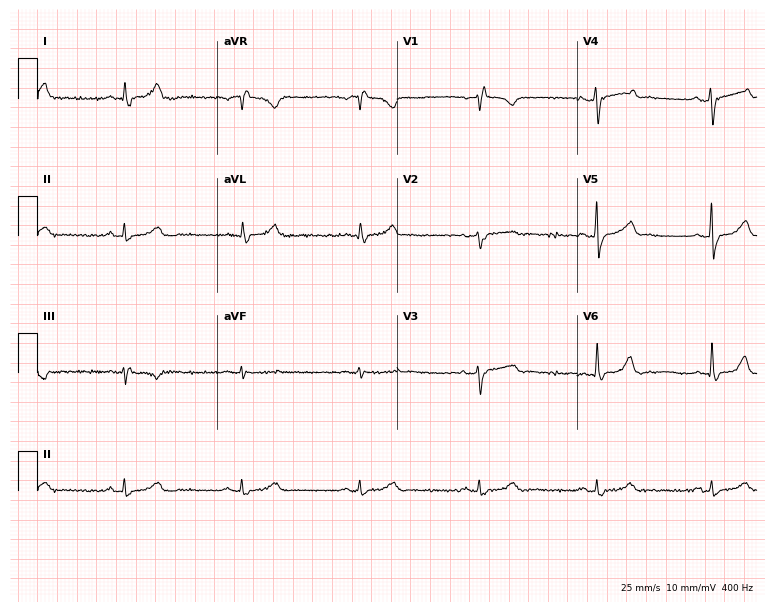
ECG (7.3-second recording at 400 Hz) — a female patient, 43 years old. Screened for six findings — first-degree AV block, right bundle branch block, left bundle branch block, sinus bradycardia, atrial fibrillation, sinus tachycardia — none is recorded.